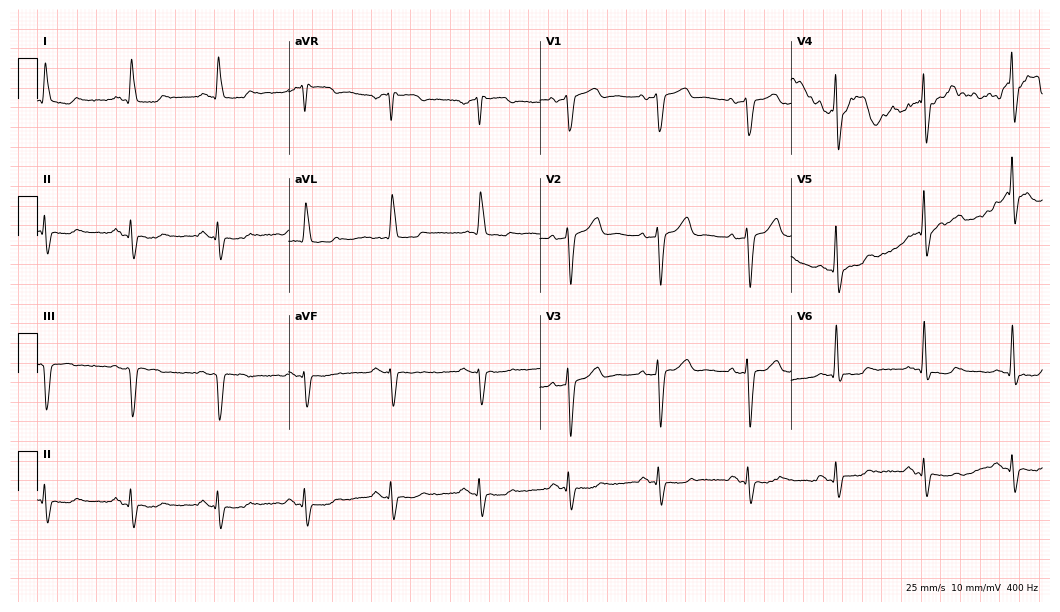
12-lead ECG from a male, 67 years old. No first-degree AV block, right bundle branch block, left bundle branch block, sinus bradycardia, atrial fibrillation or sinus tachycardia recorded for this tracing. Other findings, if any, are not listed.